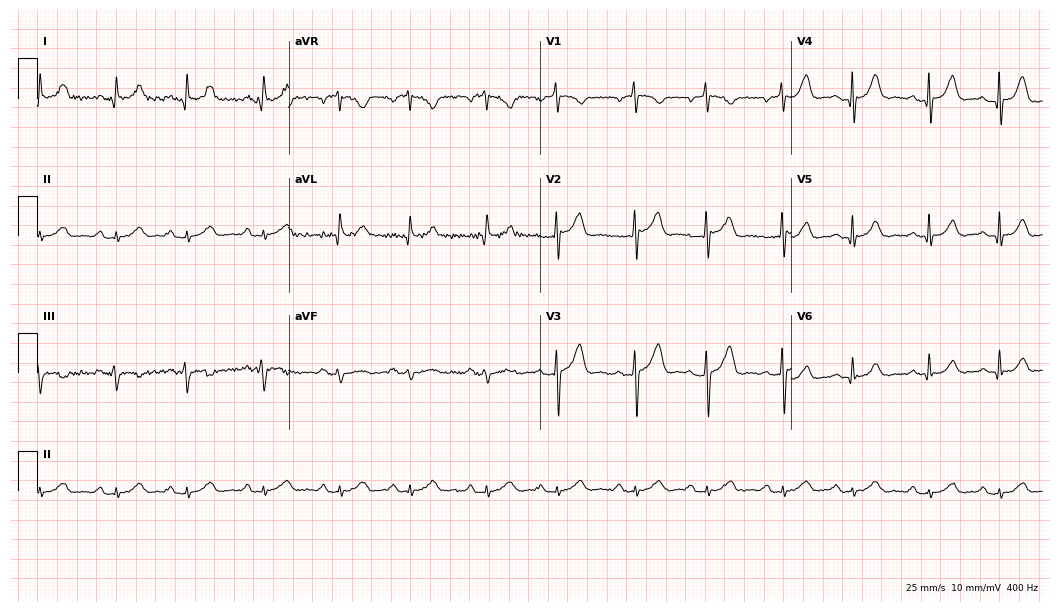
Electrocardiogram, a 49-year-old male. Overall reading on record: normal ECG.